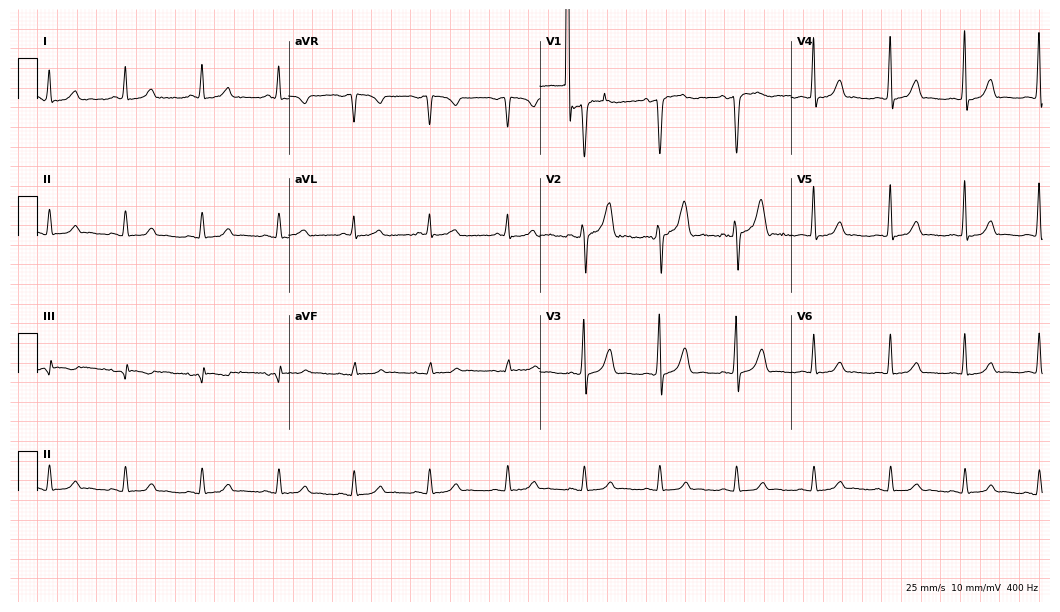
12-lead ECG from a female patient, 45 years old (10.2-second recording at 400 Hz). No first-degree AV block, right bundle branch block (RBBB), left bundle branch block (LBBB), sinus bradycardia, atrial fibrillation (AF) or sinus tachycardia recorded for this tracing. Findings outside these six are not listed.